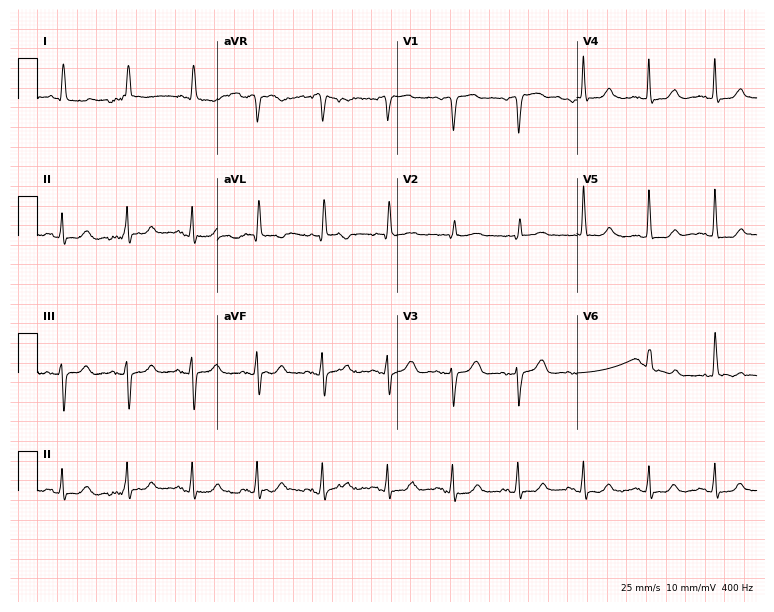
12-lead ECG from a female, 67 years old (7.3-second recording at 400 Hz). No first-degree AV block, right bundle branch block, left bundle branch block, sinus bradycardia, atrial fibrillation or sinus tachycardia recorded for this tracing. Findings outside these six are not listed.